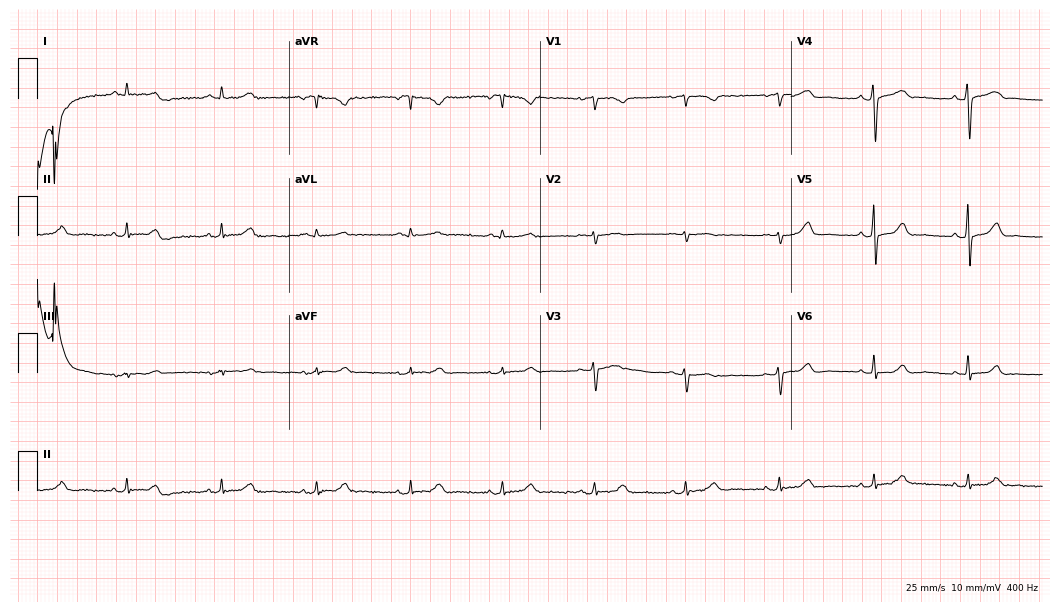
12-lead ECG (10.2-second recording at 400 Hz) from a female, 59 years old. Labelled as a normal ECG.